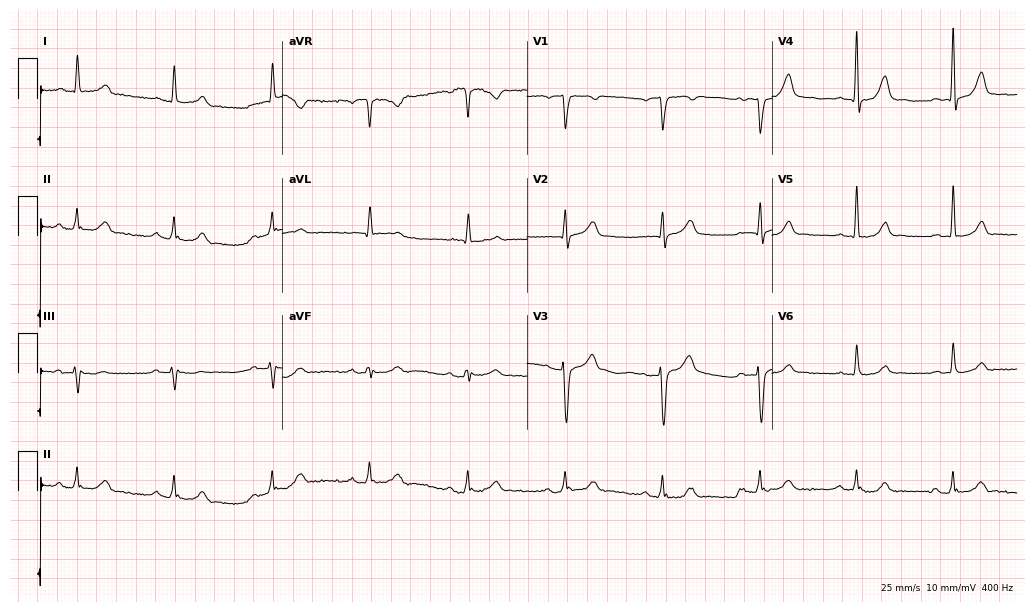
Resting 12-lead electrocardiogram. Patient: a man, 71 years old. None of these six findings is recorded: first-degree AV block, right bundle branch block (RBBB), left bundle branch block (LBBB), sinus bradycardia, atrial fibrillation (AF), sinus tachycardia. Only these six findings were labelled.